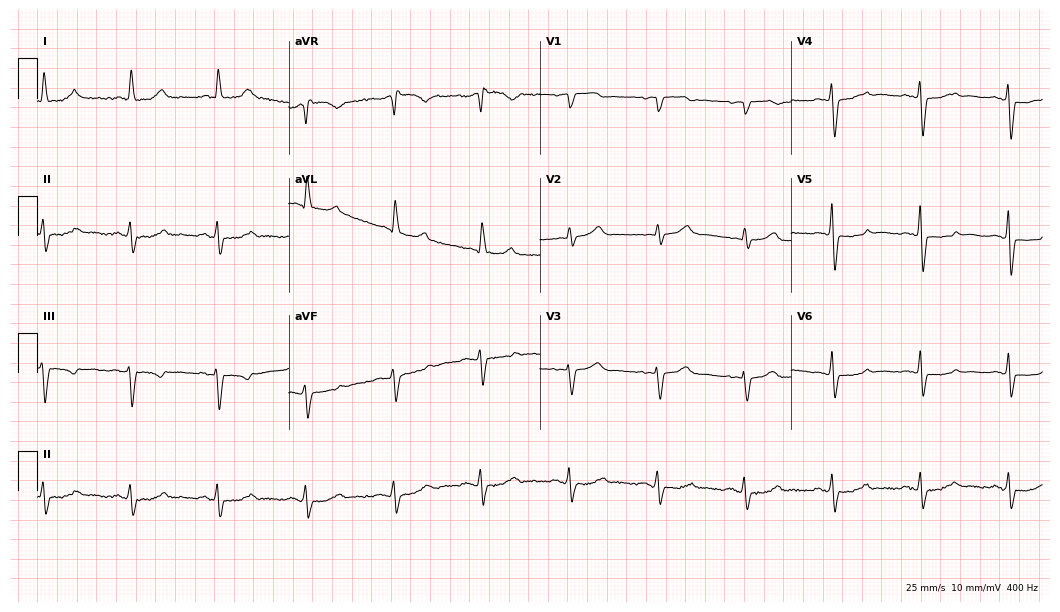
ECG — a female patient, 61 years old. Screened for six findings — first-degree AV block, right bundle branch block, left bundle branch block, sinus bradycardia, atrial fibrillation, sinus tachycardia — none is recorded.